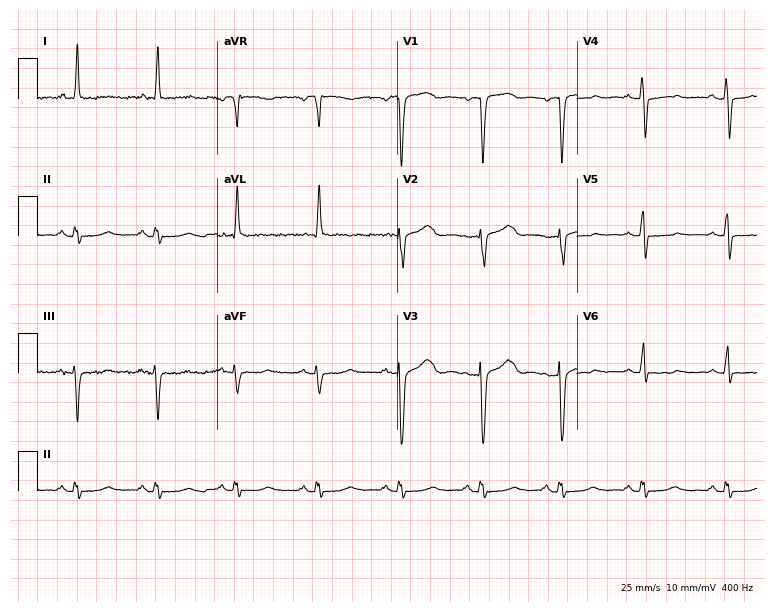
12-lead ECG from a 67-year-old female. No first-degree AV block, right bundle branch block (RBBB), left bundle branch block (LBBB), sinus bradycardia, atrial fibrillation (AF) or sinus tachycardia recorded for this tracing.